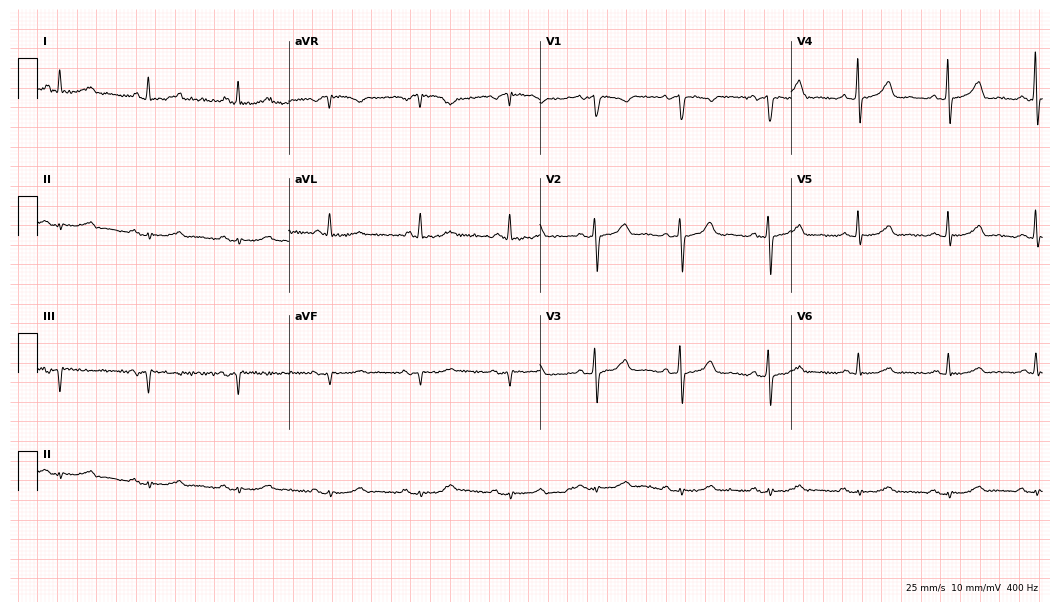
12-lead ECG from a female patient, 66 years old. Screened for six findings — first-degree AV block, right bundle branch block, left bundle branch block, sinus bradycardia, atrial fibrillation, sinus tachycardia — none is recorded.